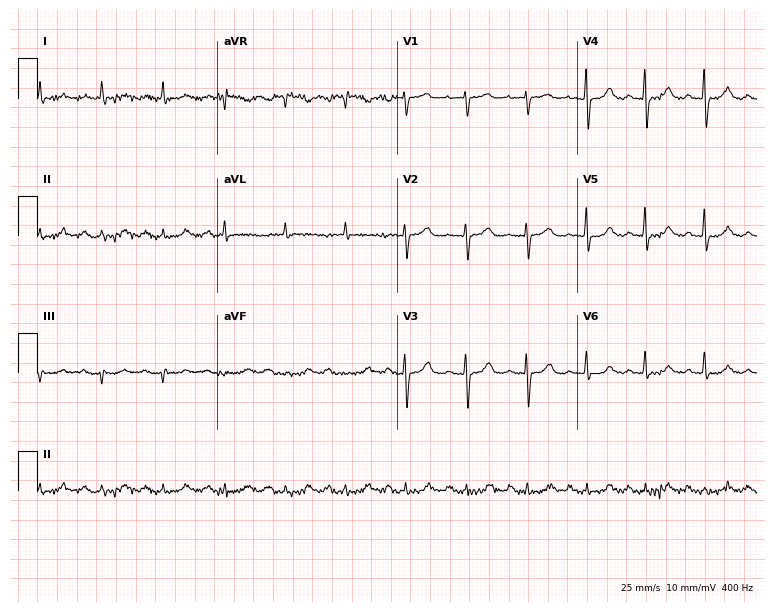
12-lead ECG (7.3-second recording at 400 Hz) from a 76-year-old woman. Labelled as a normal ECG.